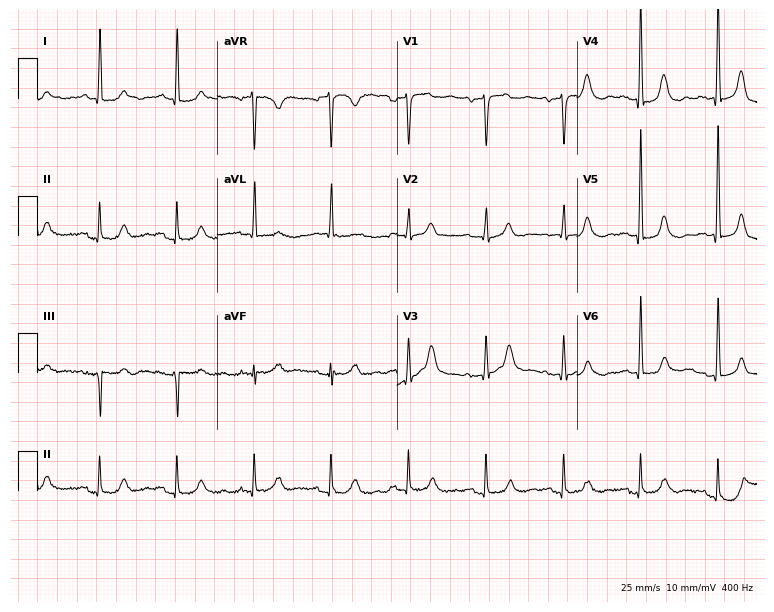
Electrocardiogram (7.3-second recording at 400 Hz), a female, 85 years old. Of the six screened findings (first-degree AV block, right bundle branch block, left bundle branch block, sinus bradycardia, atrial fibrillation, sinus tachycardia), none is recorded. Findings outside these six are not listed.